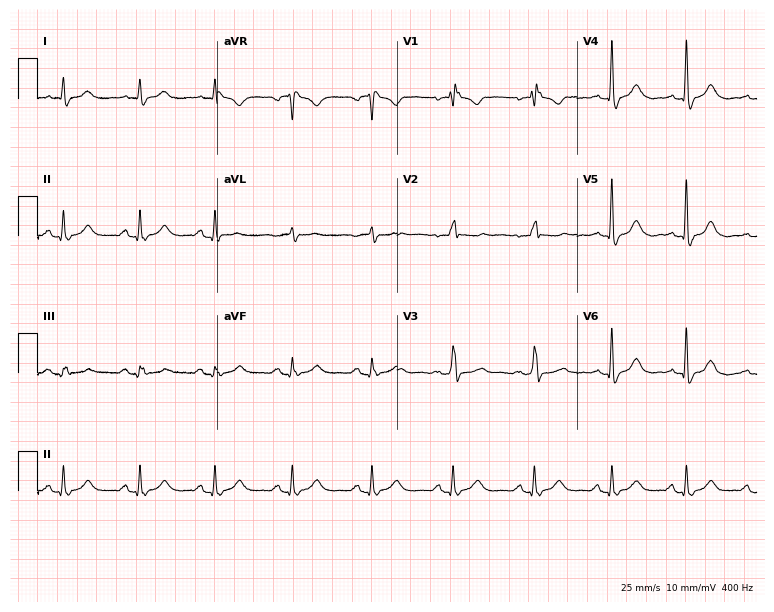
Standard 12-lead ECG recorded from a 47-year-old female. The tracing shows right bundle branch block.